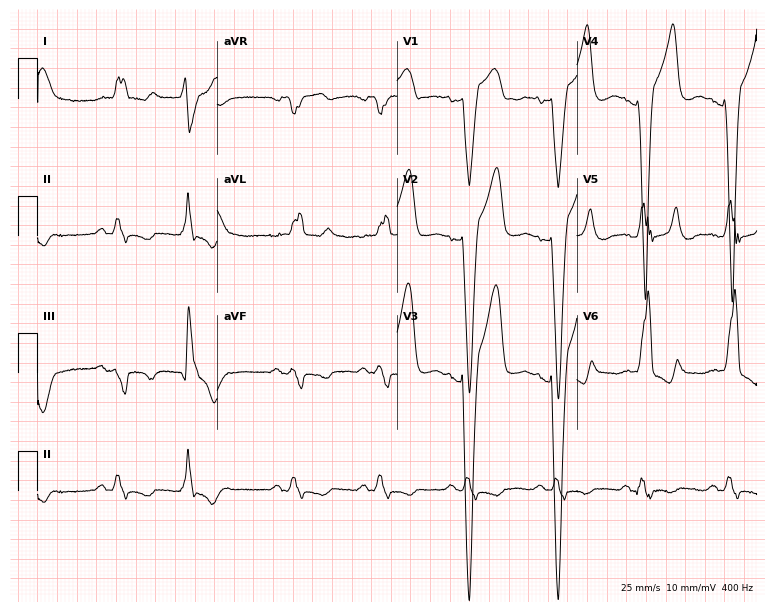
12-lead ECG from a man, 78 years old. Shows left bundle branch block.